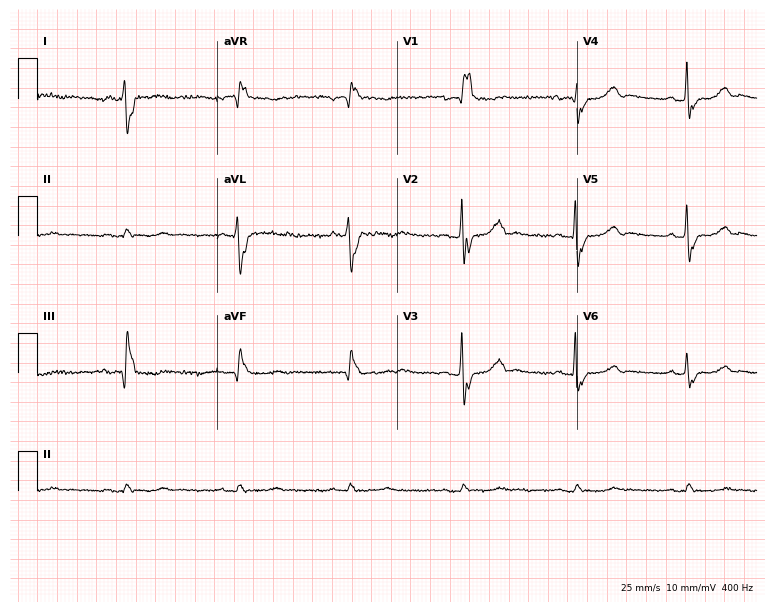
Electrocardiogram (7.3-second recording at 400 Hz), a 68-year-old woman. Of the six screened findings (first-degree AV block, right bundle branch block, left bundle branch block, sinus bradycardia, atrial fibrillation, sinus tachycardia), none is recorded. Other findings, if any, are not listed.